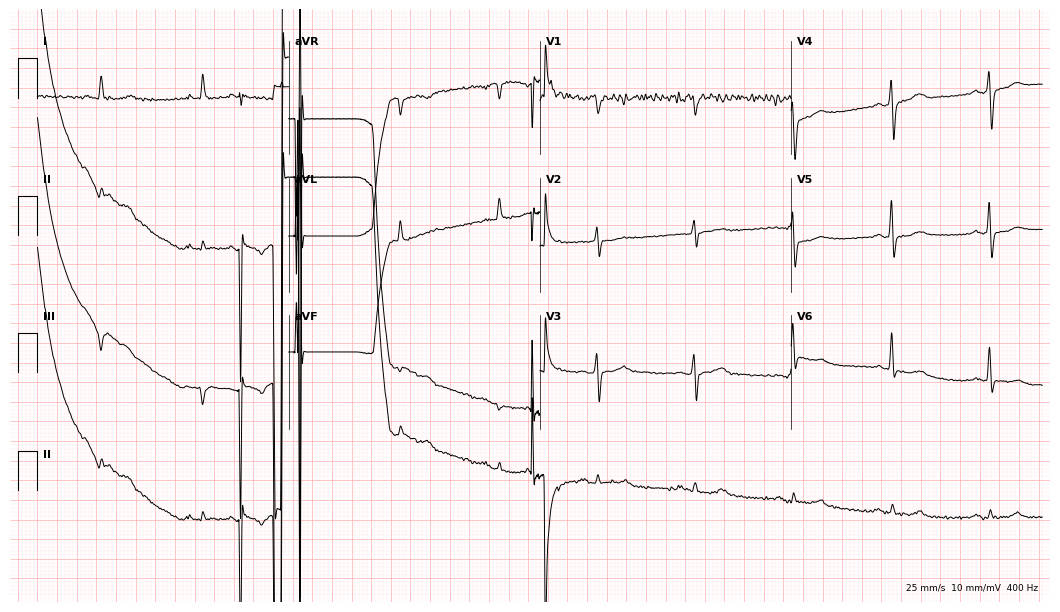
12-lead ECG from a 68-year-old man. Screened for six findings — first-degree AV block, right bundle branch block, left bundle branch block, sinus bradycardia, atrial fibrillation, sinus tachycardia — none is recorded. Only these six findings were labelled.